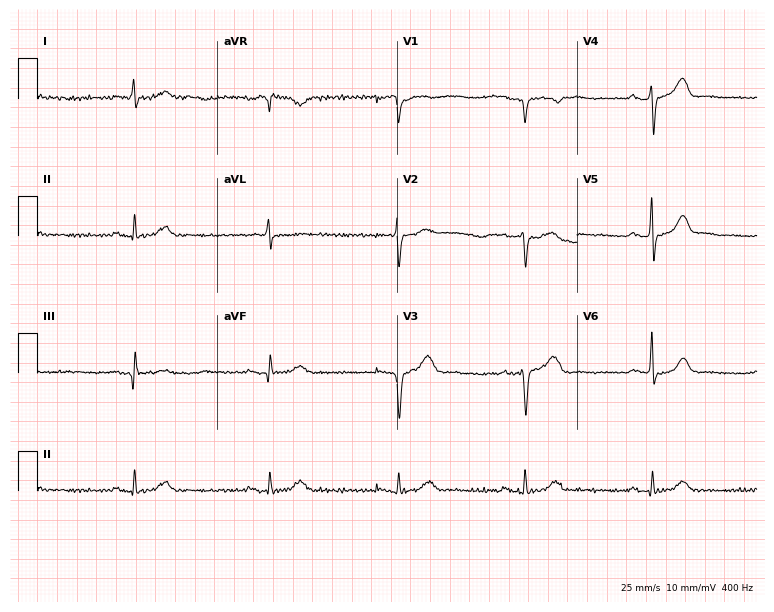
12-lead ECG from a male patient, 72 years old (7.3-second recording at 400 Hz). Shows first-degree AV block, sinus bradycardia (a sinus rate of 50 beats per minute or less).